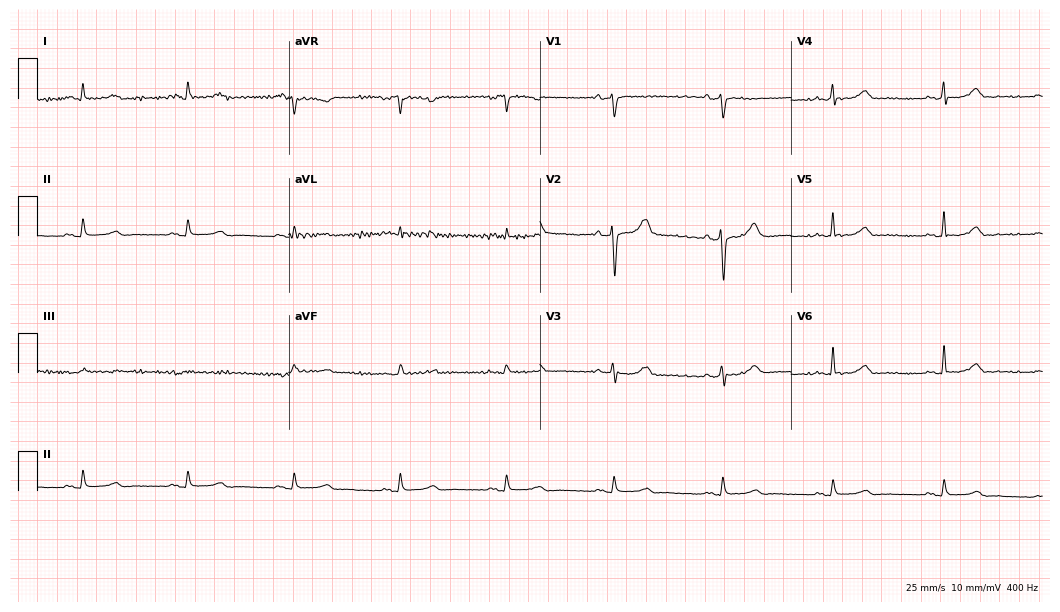
Electrocardiogram (10.2-second recording at 400 Hz), a male, 67 years old. Overall reading on record: normal ECG.